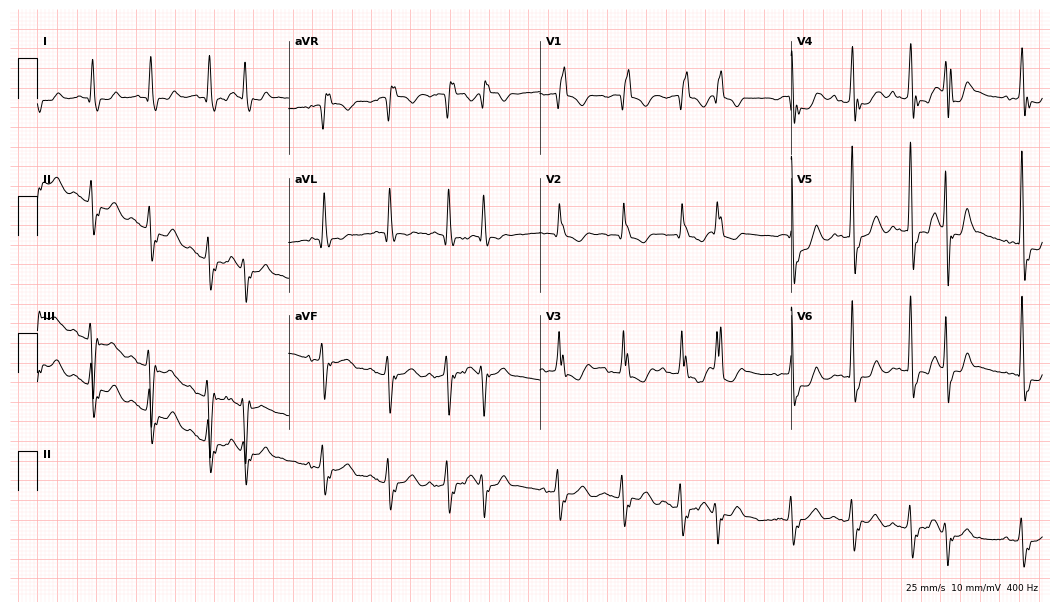
Resting 12-lead electrocardiogram. Patient: a man, 83 years old. None of these six findings is recorded: first-degree AV block, right bundle branch block, left bundle branch block, sinus bradycardia, atrial fibrillation, sinus tachycardia.